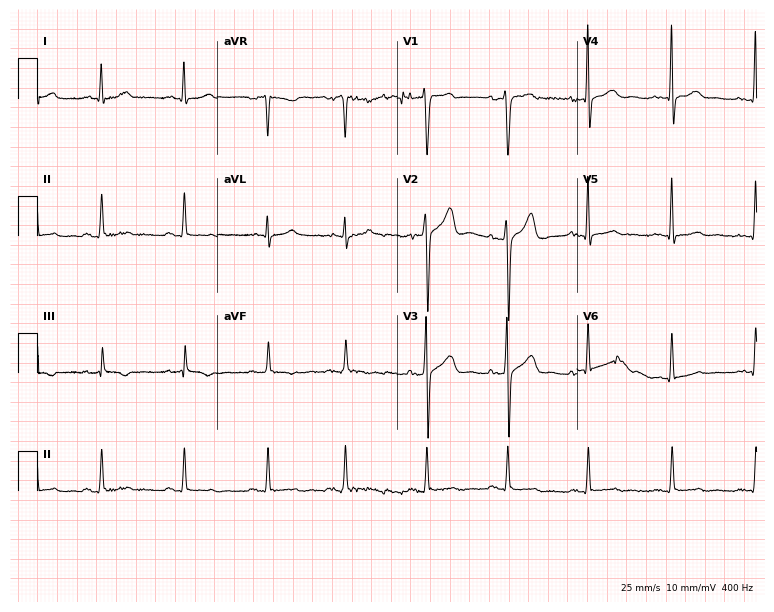
Electrocardiogram (7.3-second recording at 400 Hz), a man, 43 years old. Overall reading on record: normal ECG.